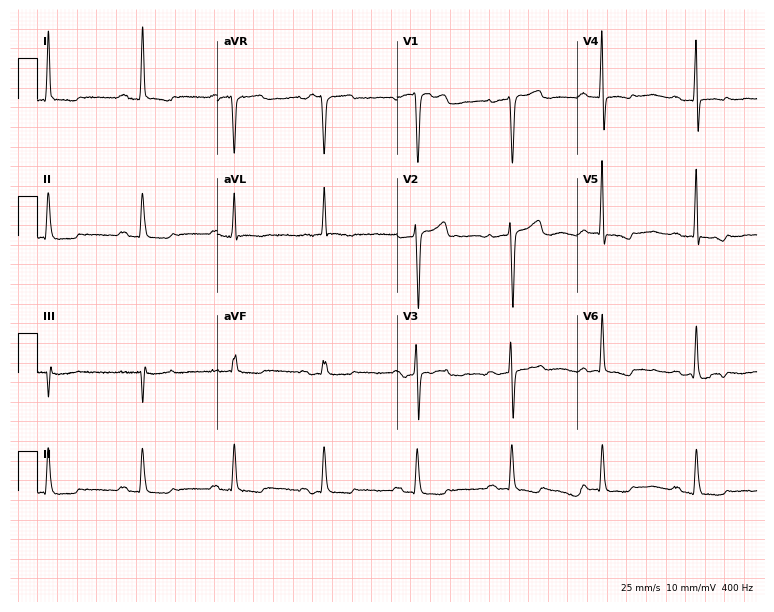
ECG — a 41-year-old female patient. Screened for six findings — first-degree AV block, right bundle branch block, left bundle branch block, sinus bradycardia, atrial fibrillation, sinus tachycardia — none is recorded. Only these six findings were labelled.